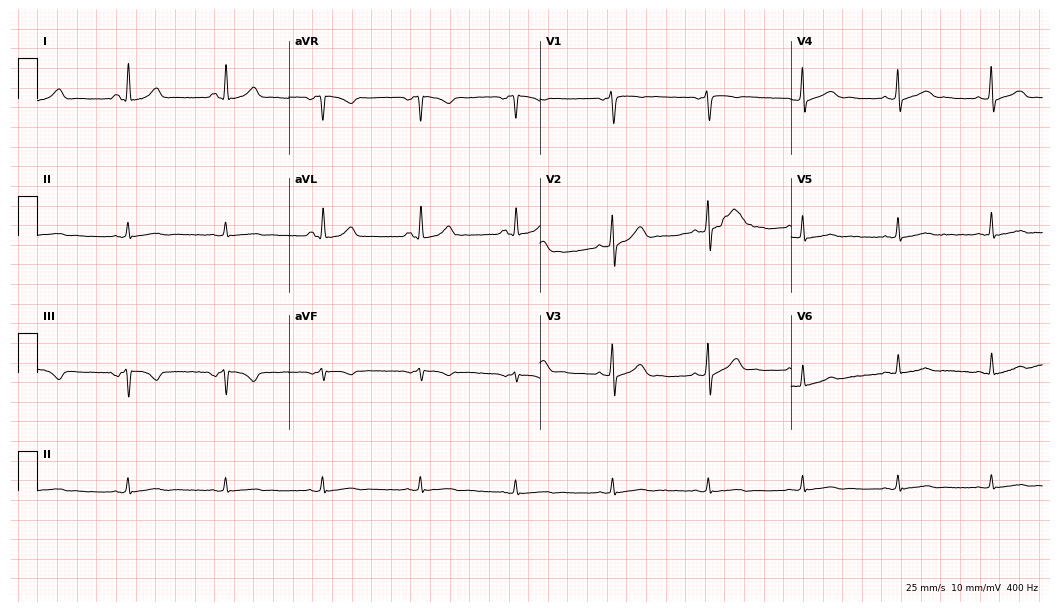
12-lead ECG from a male, 43 years old (10.2-second recording at 400 Hz). No first-degree AV block, right bundle branch block, left bundle branch block, sinus bradycardia, atrial fibrillation or sinus tachycardia recorded for this tracing.